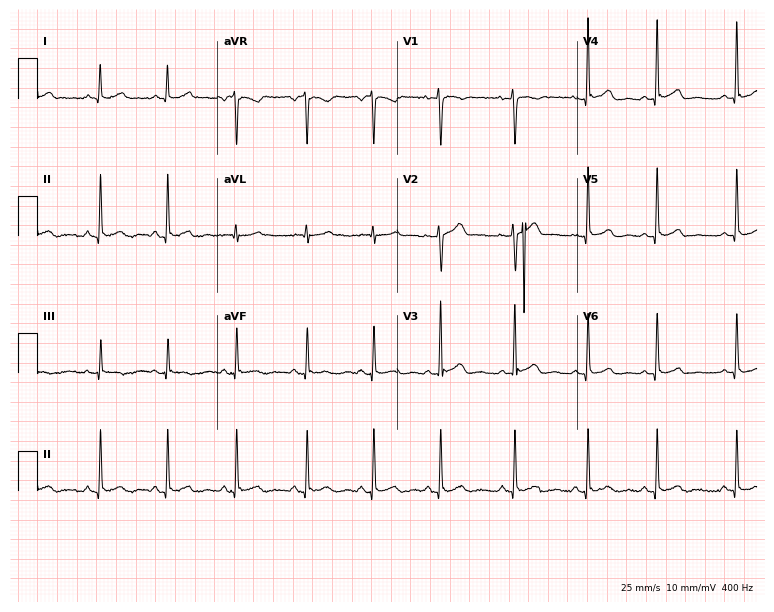
Resting 12-lead electrocardiogram (7.3-second recording at 400 Hz). Patient: a 26-year-old female. Read as a normal ECG.